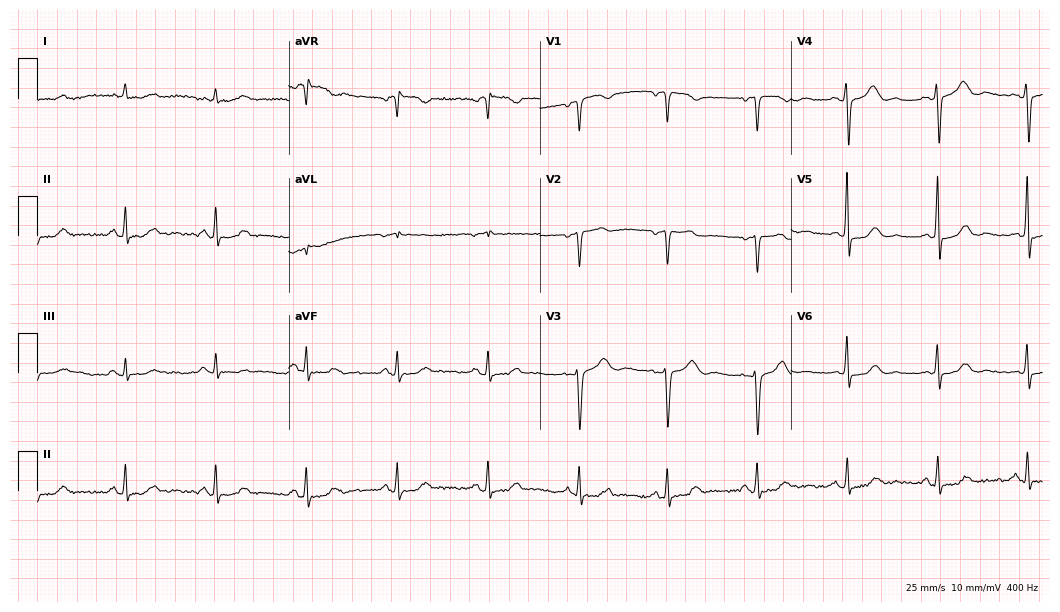
12-lead ECG from a woman, 70 years old (10.2-second recording at 400 Hz). No first-degree AV block, right bundle branch block, left bundle branch block, sinus bradycardia, atrial fibrillation or sinus tachycardia recorded for this tracing. Only these six findings were labelled.